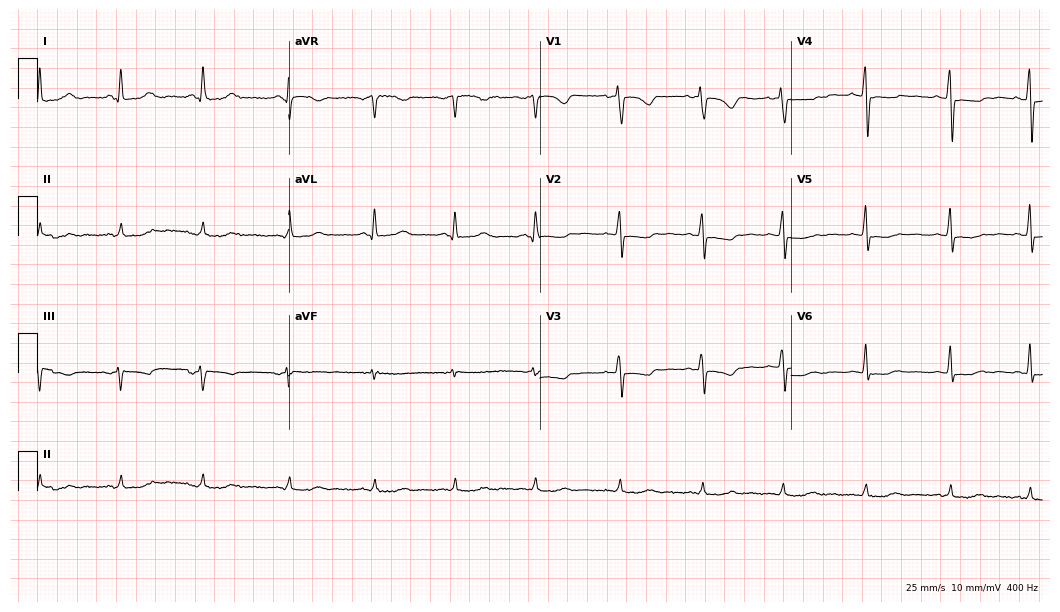
12-lead ECG from a female patient, 54 years old. Screened for six findings — first-degree AV block, right bundle branch block (RBBB), left bundle branch block (LBBB), sinus bradycardia, atrial fibrillation (AF), sinus tachycardia — none is recorded. Findings outside these six are not listed.